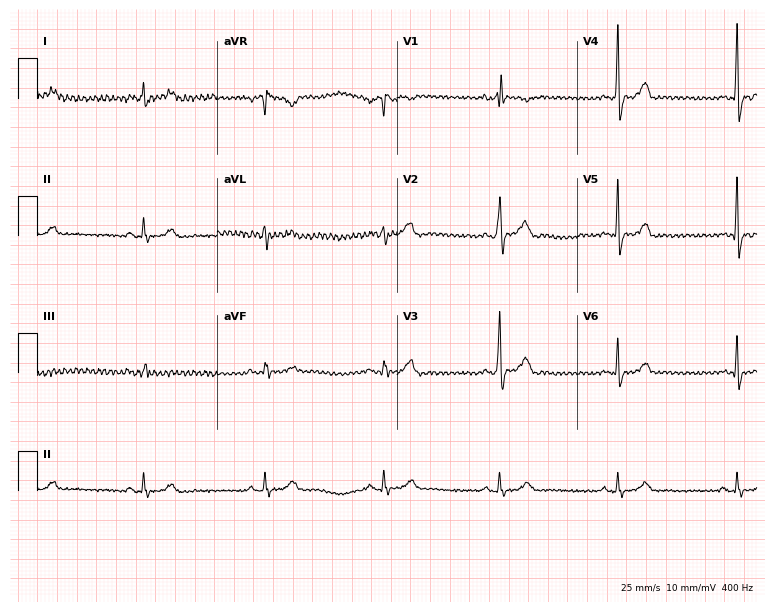
Standard 12-lead ECG recorded from a man, 45 years old (7.3-second recording at 400 Hz). The tracing shows sinus bradycardia (a sinus rate of 50 beats per minute or less).